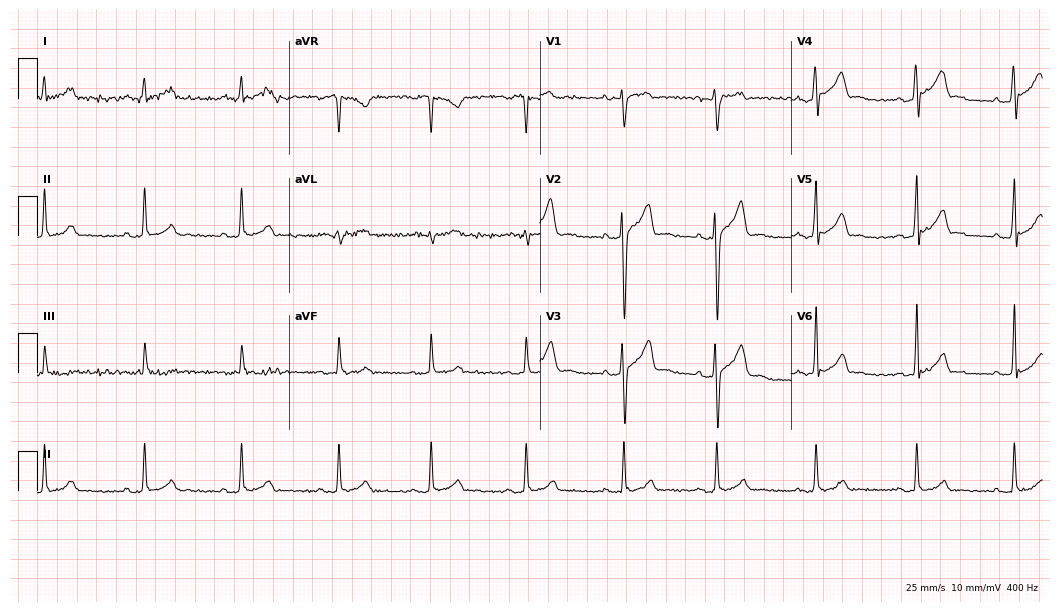
12-lead ECG (10.2-second recording at 400 Hz) from a male patient, 33 years old. Labelled as a normal ECG.